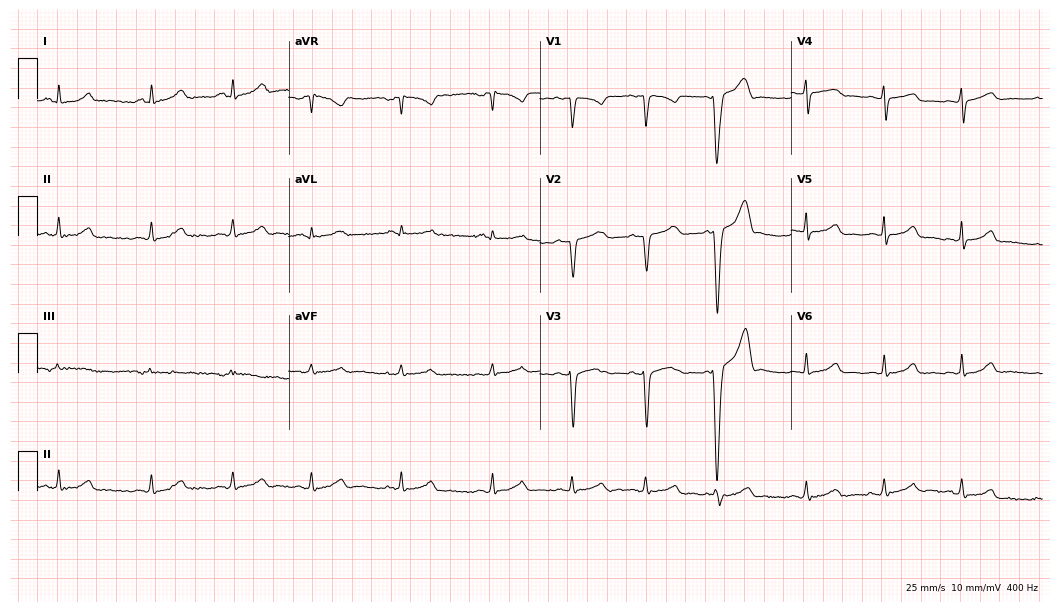
Standard 12-lead ECG recorded from a 21-year-old woman (10.2-second recording at 400 Hz). None of these six findings is recorded: first-degree AV block, right bundle branch block, left bundle branch block, sinus bradycardia, atrial fibrillation, sinus tachycardia. Other findings, if any, are not listed.